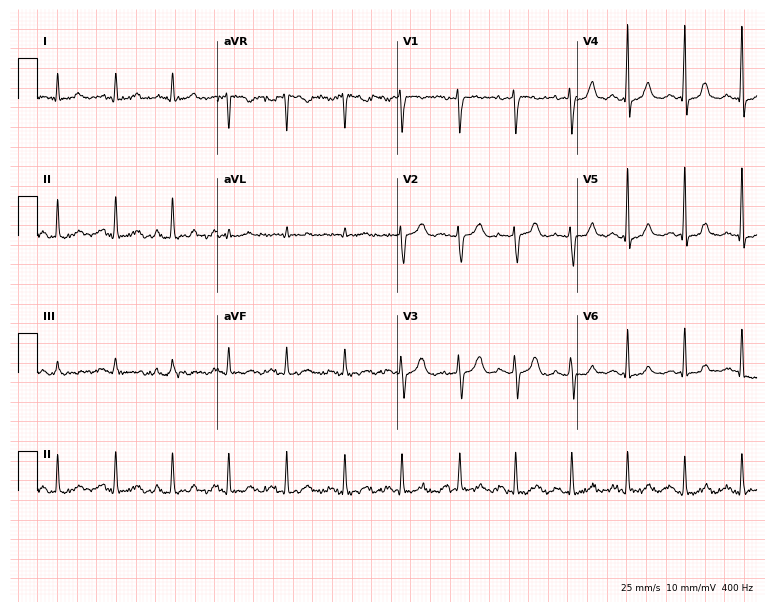
Resting 12-lead electrocardiogram (7.3-second recording at 400 Hz). Patient: a female, 39 years old. The tracing shows sinus tachycardia (a sinus rate of 100 beats per minute or more).